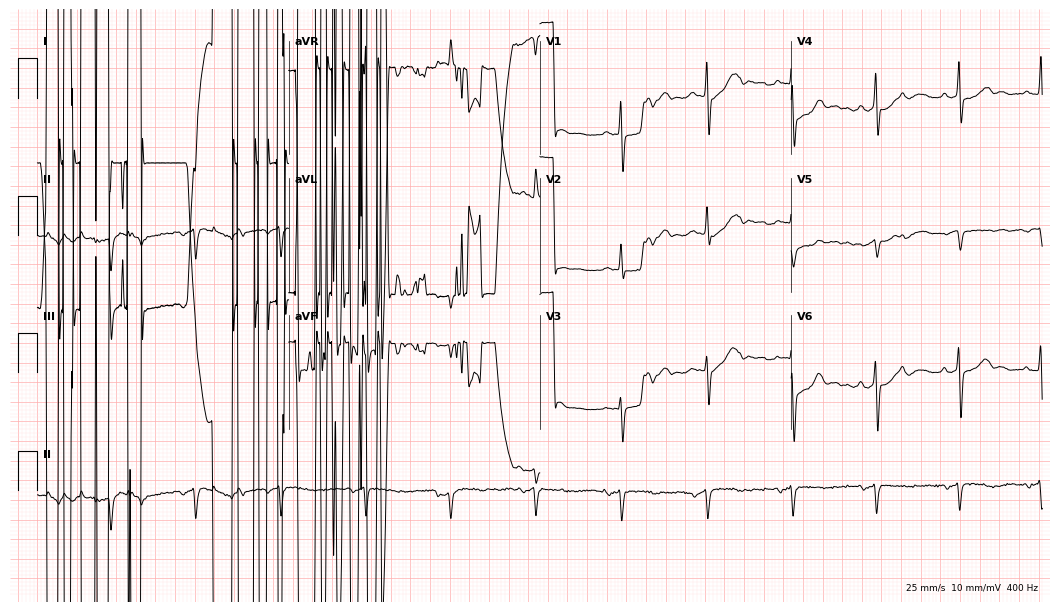
12-lead ECG (10.2-second recording at 400 Hz) from a male patient, 66 years old. Screened for six findings — first-degree AV block, right bundle branch block, left bundle branch block, sinus bradycardia, atrial fibrillation, sinus tachycardia — none is recorded.